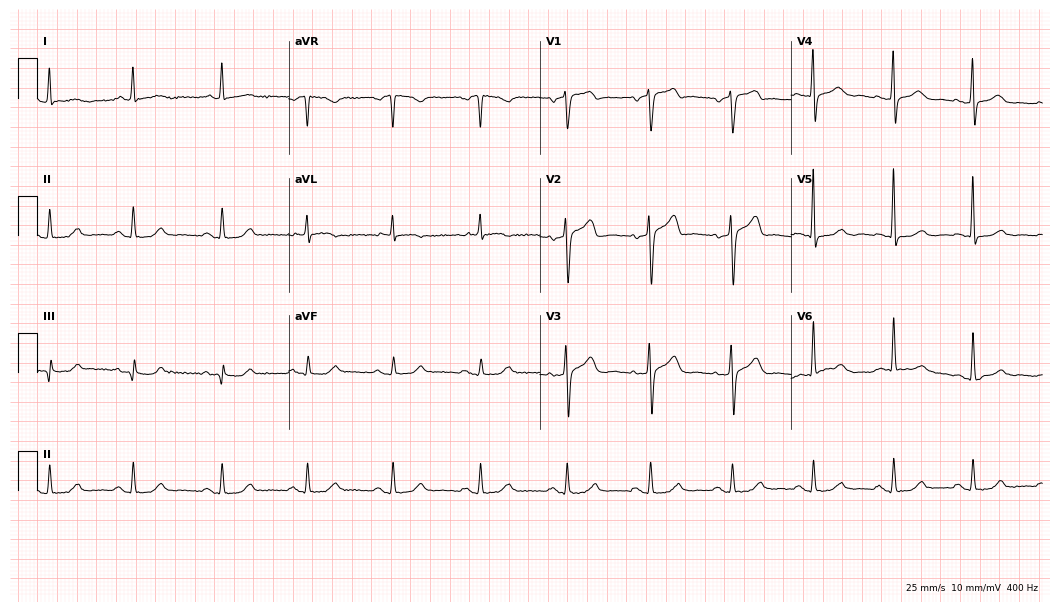
ECG (10.2-second recording at 400 Hz) — a 77-year-old male patient. Labelled as a normal ECG.